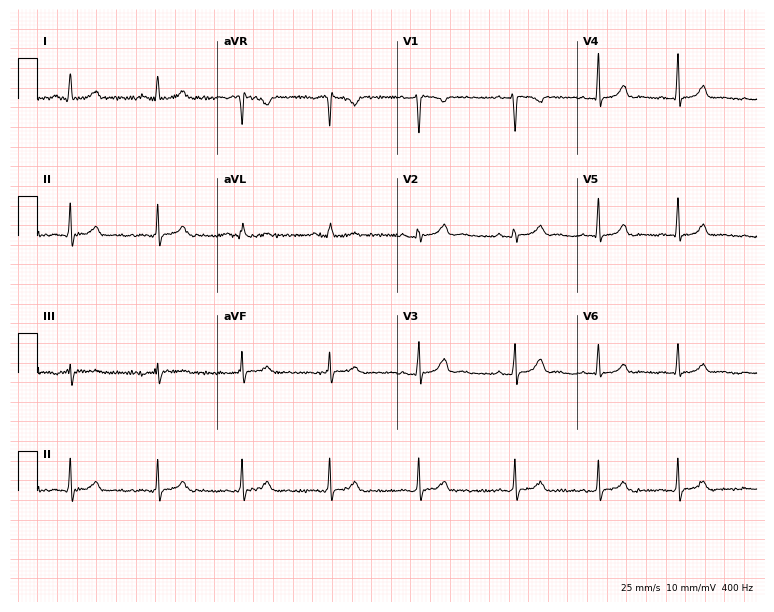
Resting 12-lead electrocardiogram (7.3-second recording at 400 Hz). Patient: a woman, 31 years old. None of these six findings is recorded: first-degree AV block, right bundle branch block, left bundle branch block, sinus bradycardia, atrial fibrillation, sinus tachycardia. Findings outside these six are not listed.